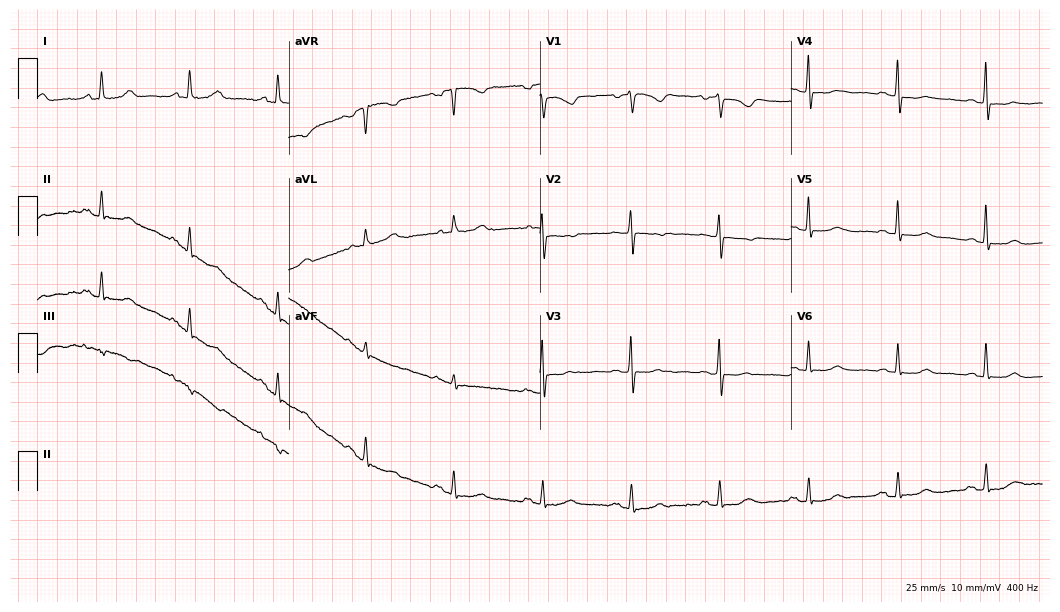
12-lead ECG (10.2-second recording at 400 Hz) from a female, 74 years old. Screened for six findings — first-degree AV block, right bundle branch block, left bundle branch block, sinus bradycardia, atrial fibrillation, sinus tachycardia — none is recorded. Other findings, if any, are not listed.